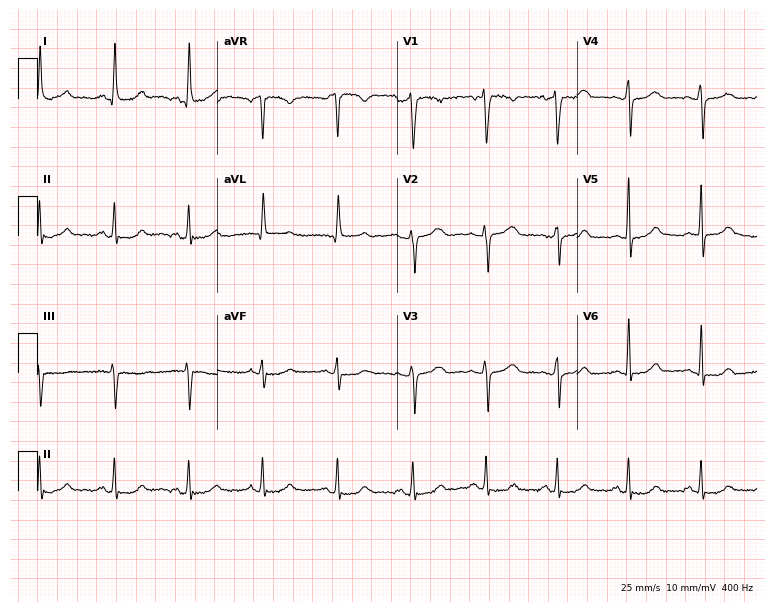
Resting 12-lead electrocardiogram. Patient: a 46-year-old female. None of these six findings is recorded: first-degree AV block, right bundle branch block, left bundle branch block, sinus bradycardia, atrial fibrillation, sinus tachycardia.